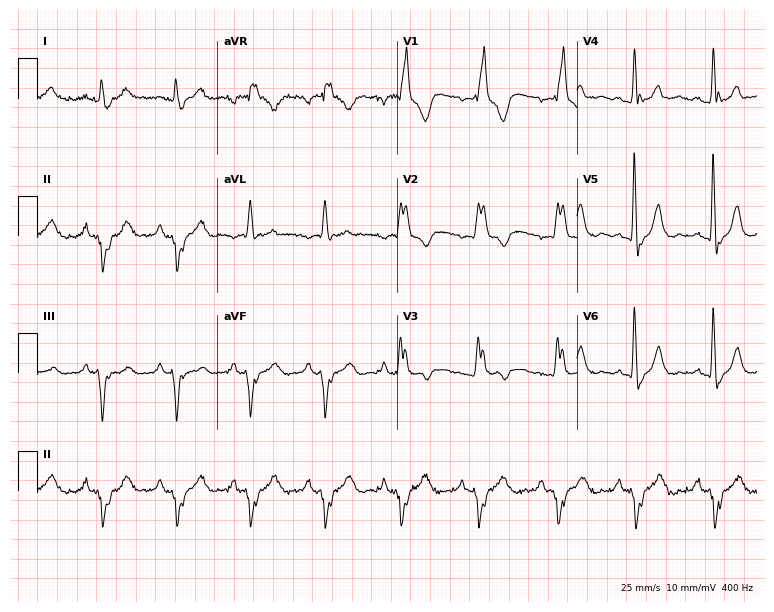
Standard 12-lead ECG recorded from a male, 74 years old (7.3-second recording at 400 Hz). None of these six findings is recorded: first-degree AV block, right bundle branch block, left bundle branch block, sinus bradycardia, atrial fibrillation, sinus tachycardia.